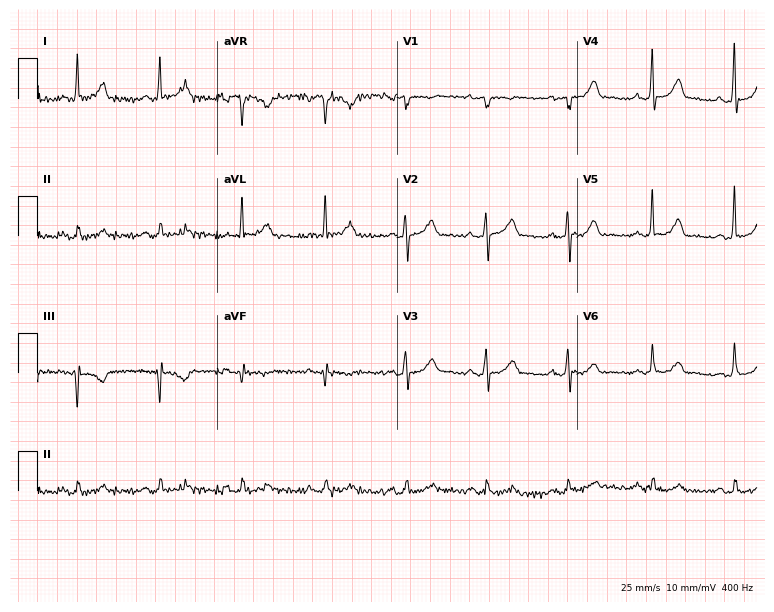
12-lead ECG (7.3-second recording at 400 Hz) from a 62-year-old male. Labelled as a normal ECG.